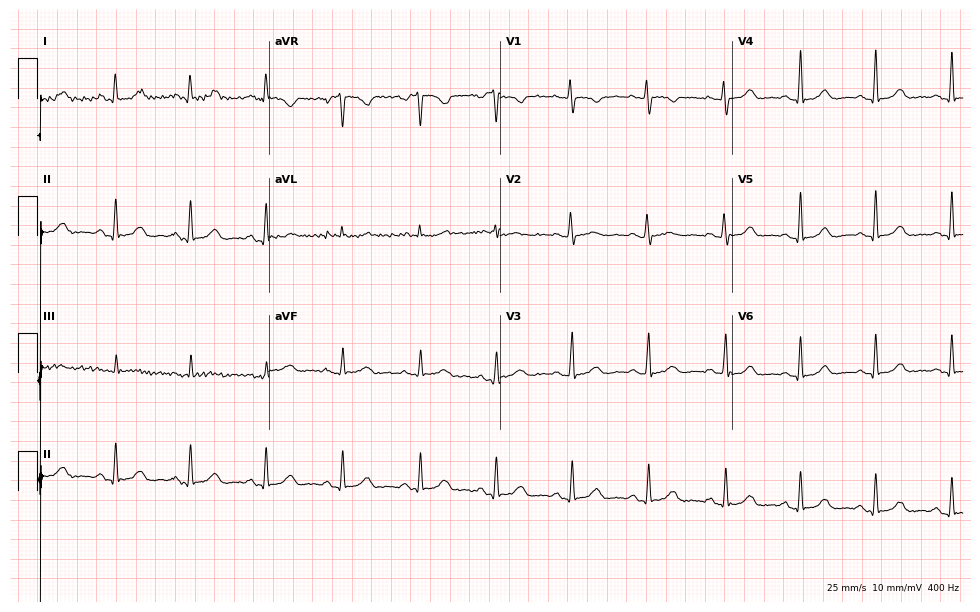
12-lead ECG (9.4-second recording at 400 Hz) from a 40-year-old female. Labelled as a normal ECG.